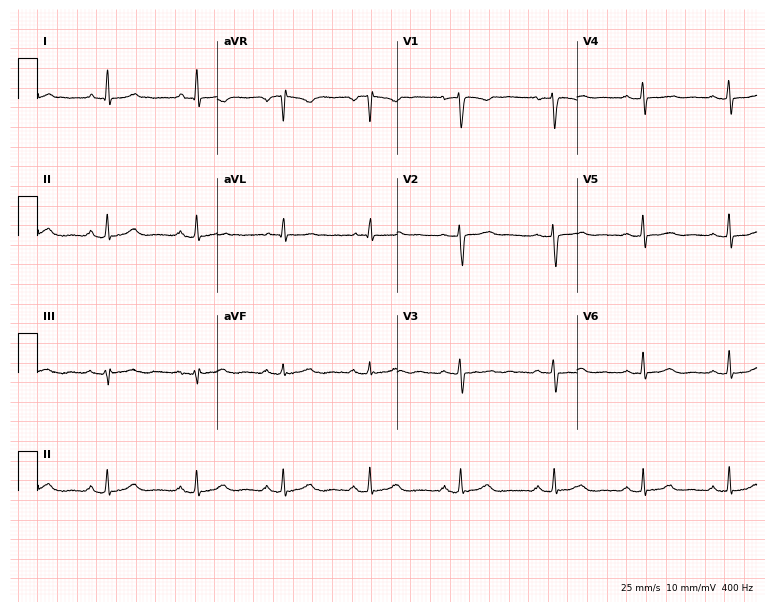
12-lead ECG from a 36-year-old woman (7.3-second recording at 400 Hz). No first-degree AV block, right bundle branch block, left bundle branch block, sinus bradycardia, atrial fibrillation or sinus tachycardia recorded for this tracing.